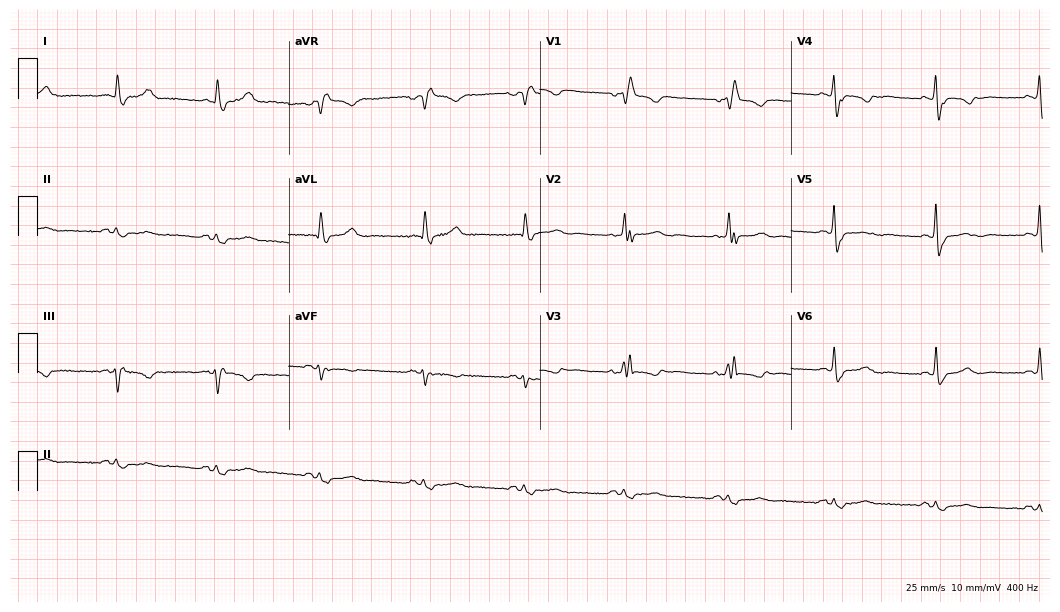
Resting 12-lead electrocardiogram. Patient: a female, 65 years old. The tracing shows right bundle branch block.